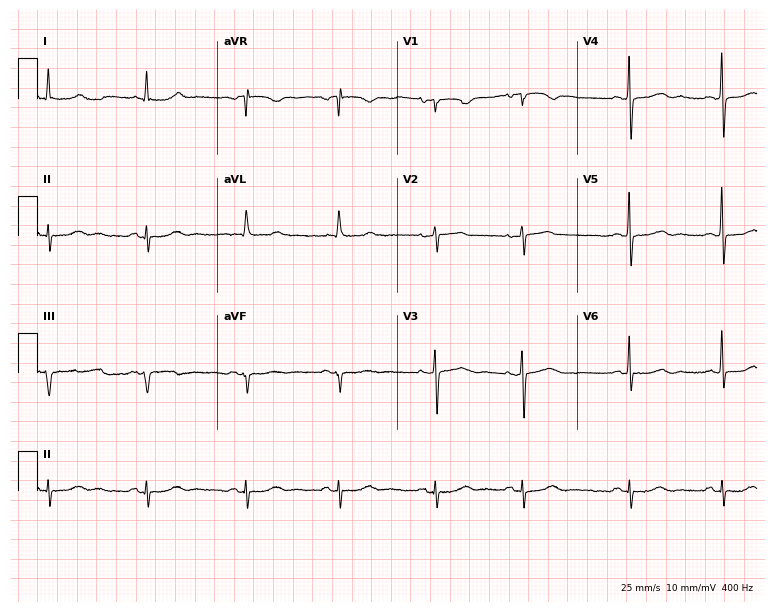
12-lead ECG from a 75-year-old female patient. Recorded interpretation: within normal limits.